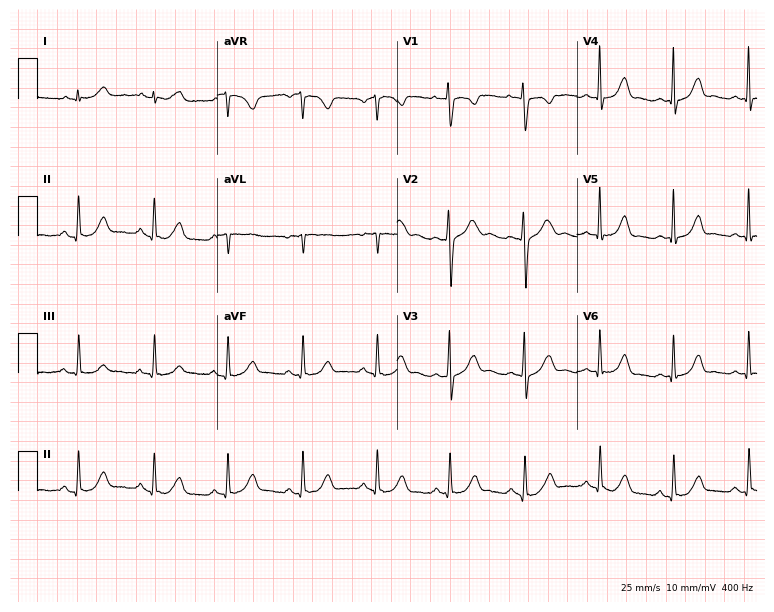
12-lead ECG from a 33-year-old female. No first-degree AV block, right bundle branch block, left bundle branch block, sinus bradycardia, atrial fibrillation or sinus tachycardia recorded for this tracing.